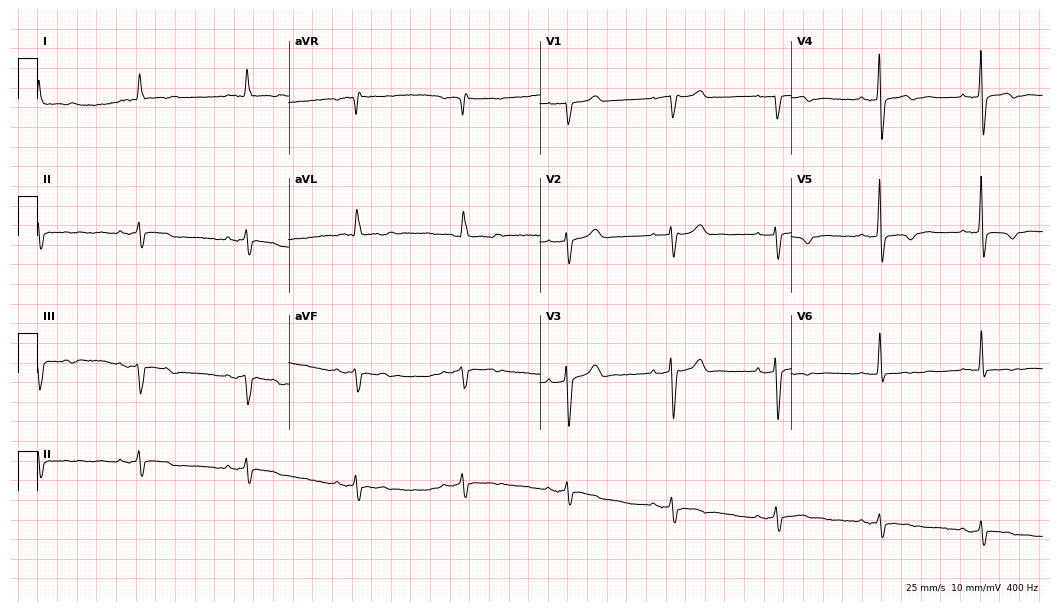
Electrocardiogram (10.2-second recording at 400 Hz), a man, 83 years old. Of the six screened findings (first-degree AV block, right bundle branch block, left bundle branch block, sinus bradycardia, atrial fibrillation, sinus tachycardia), none is recorded.